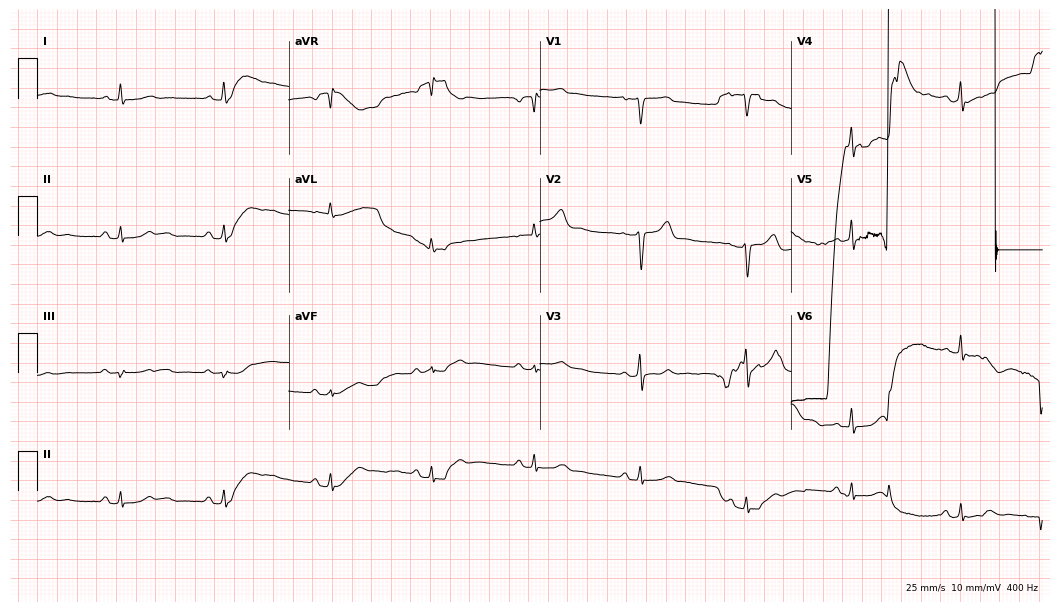
Resting 12-lead electrocardiogram (10.2-second recording at 400 Hz). Patient: a 33-year-old woman. None of these six findings is recorded: first-degree AV block, right bundle branch block, left bundle branch block, sinus bradycardia, atrial fibrillation, sinus tachycardia. Other findings, if any, are not listed.